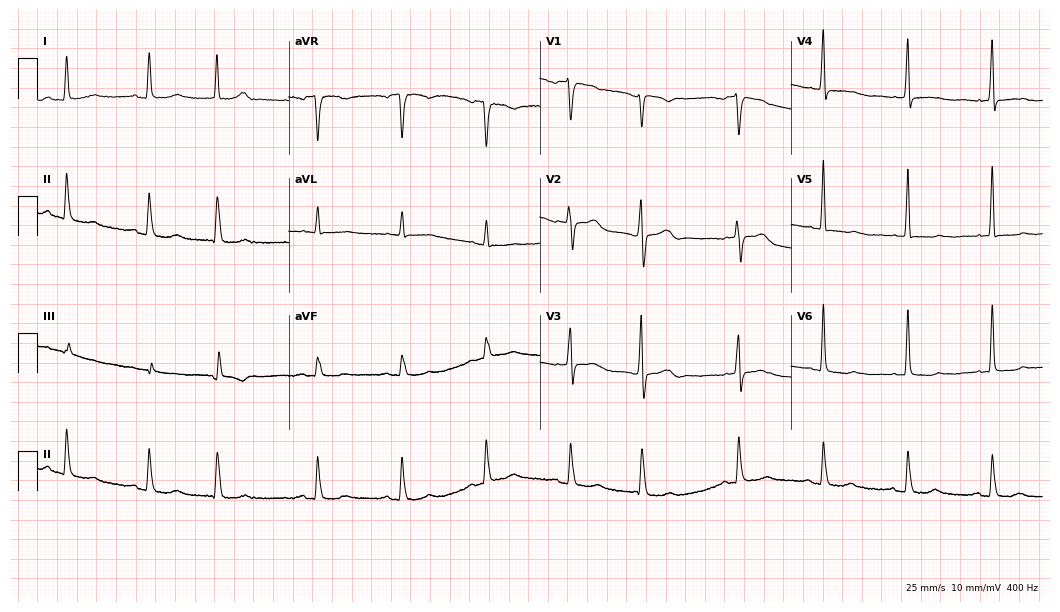
ECG (10.2-second recording at 400 Hz) — a woman, 57 years old. Screened for six findings — first-degree AV block, right bundle branch block, left bundle branch block, sinus bradycardia, atrial fibrillation, sinus tachycardia — none is recorded.